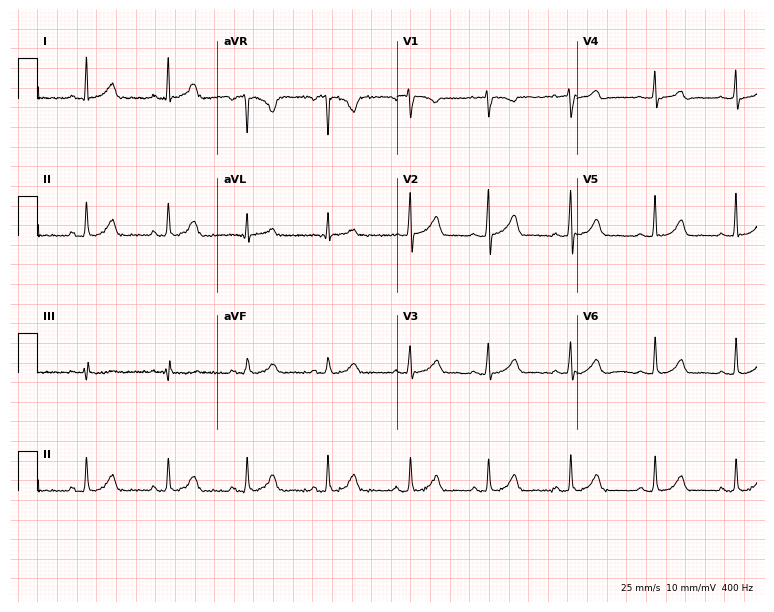
Resting 12-lead electrocardiogram. Patient: a 32-year-old female. Read as a normal ECG.